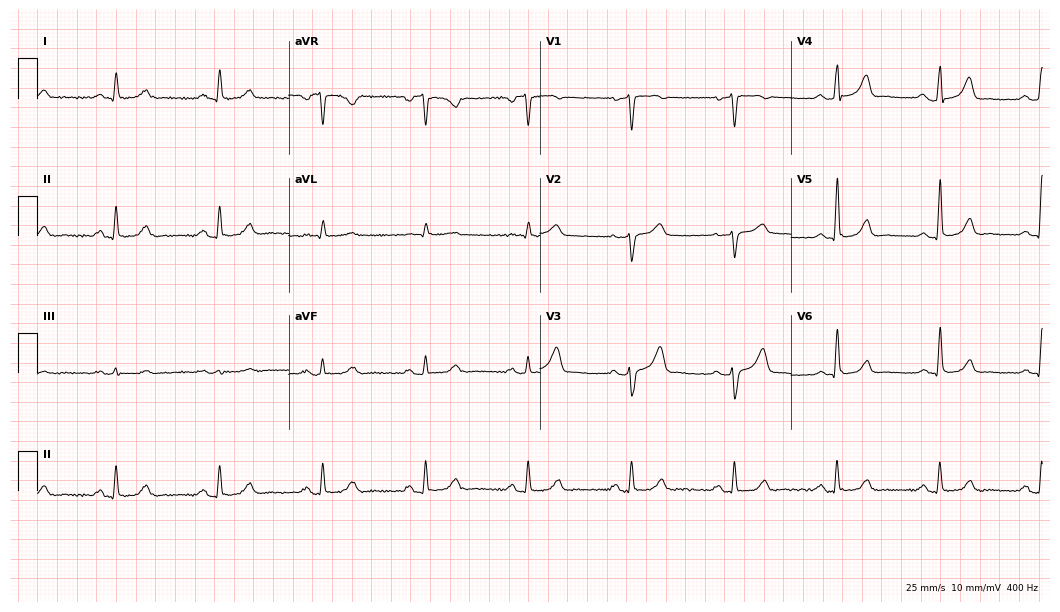
Resting 12-lead electrocardiogram (10.2-second recording at 400 Hz). Patient: a 65-year-old male. None of these six findings is recorded: first-degree AV block, right bundle branch block (RBBB), left bundle branch block (LBBB), sinus bradycardia, atrial fibrillation (AF), sinus tachycardia. Other findings, if any, are not listed.